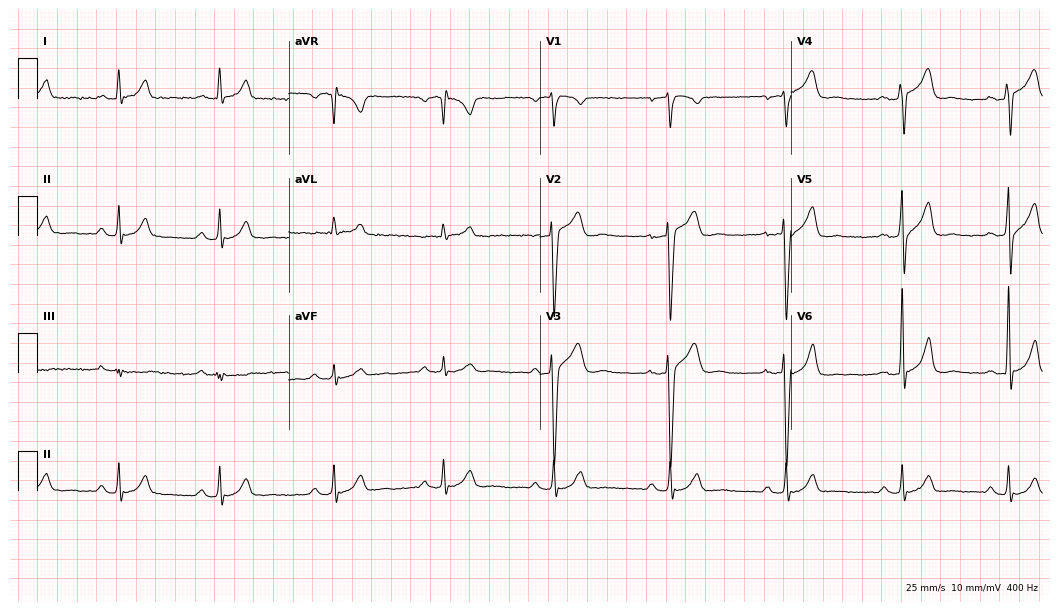
12-lead ECG from a male, 41 years old. Shows first-degree AV block.